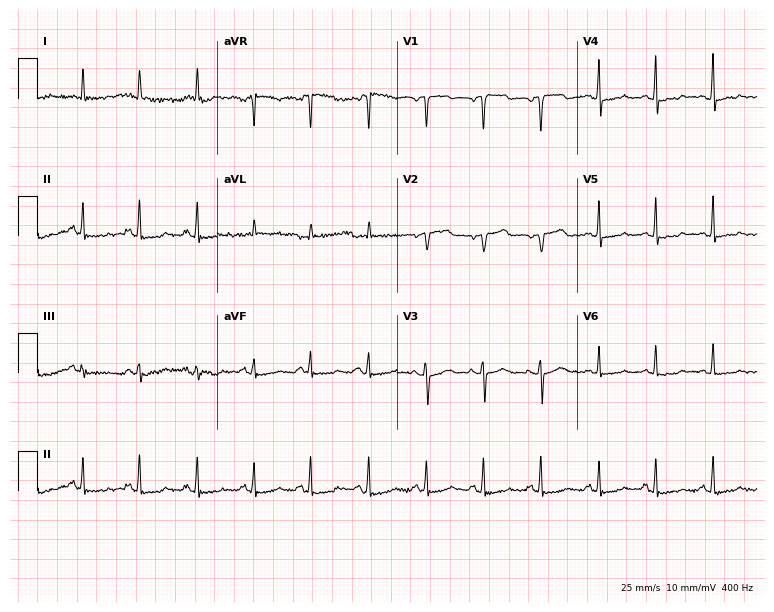
12-lead ECG (7.3-second recording at 400 Hz) from a 67-year-old female patient. Findings include sinus tachycardia (a sinus rate of 100 beats per minute or more).